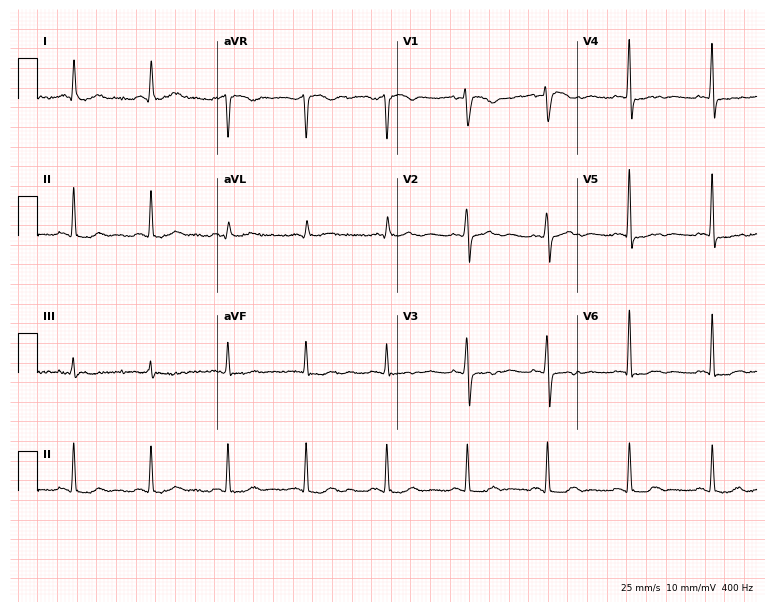
ECG — a 68-year-old female patient. Screened for six findings — first-degree AV block, right bundle branch block (RBBB), left bundle branch block (LBBB), sinus bradycardia, atrial fibrillation (AF), sinus tachycardia — none is recorded.